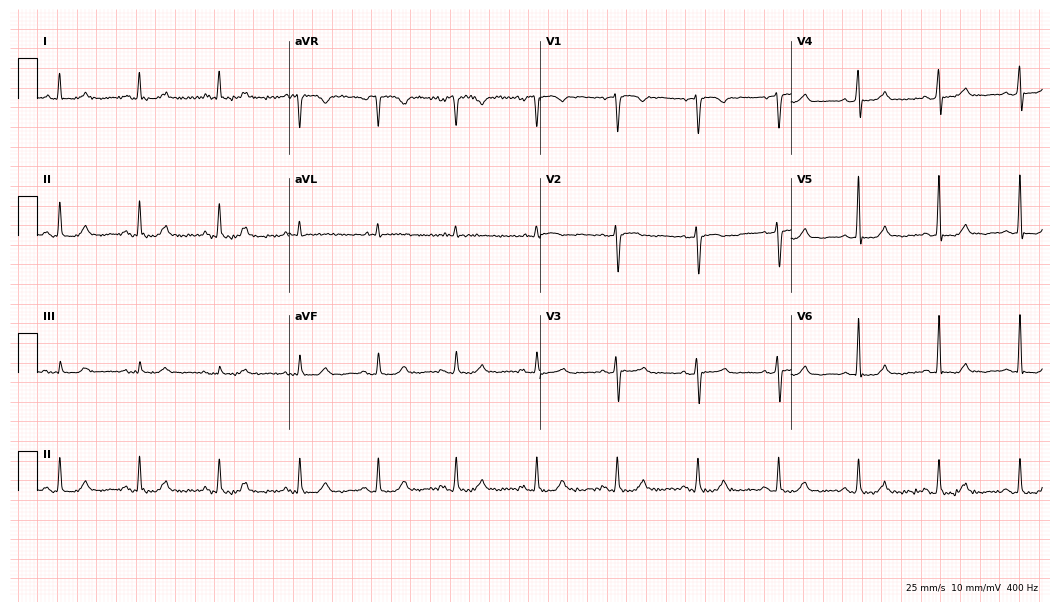
Resting 12-lead electrocardiogram (10.2-second recording at 400 Hz). Patient: a 53-year-old female. Read as a normal ECG.